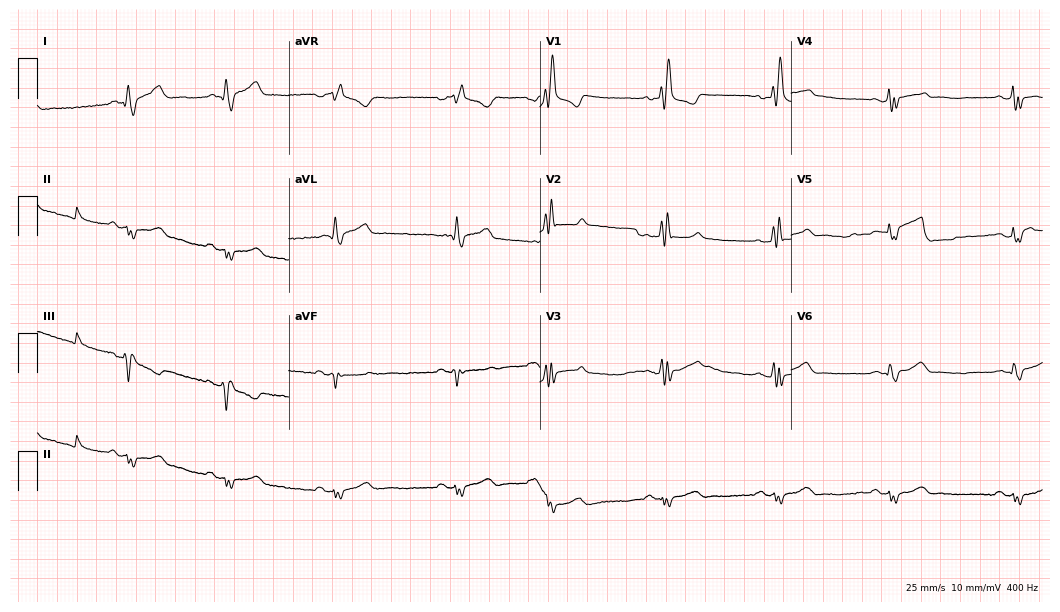
Resting 12-lead electrocardiogram. Patient: a male, 67 years old. The tracing shows right bundle branch block.